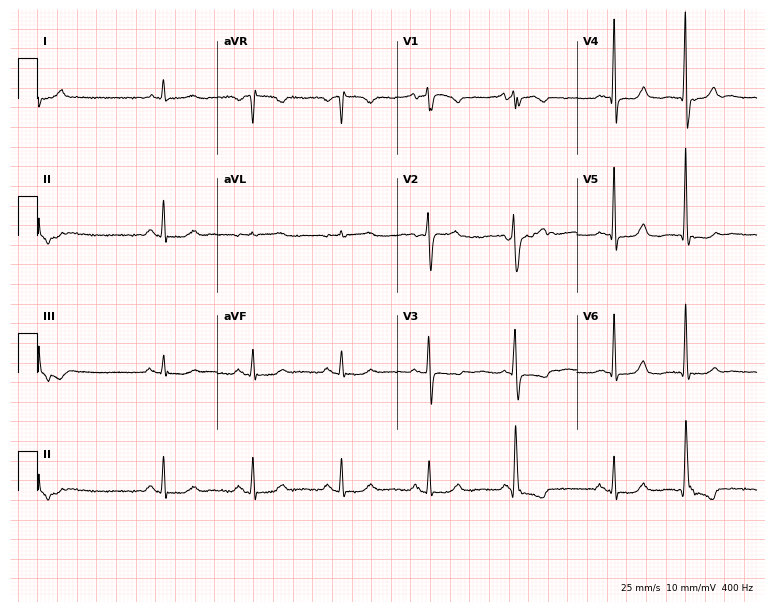
Electrocardiogram, a woman, 75 years old. Of the six screened findings (first-degree AV block, right bundle branch block (RBBB), left bundle branch block (LBBB), sinus bradycardia, atrial fibrillation (AF), sinus tachycardia), none is recorded.